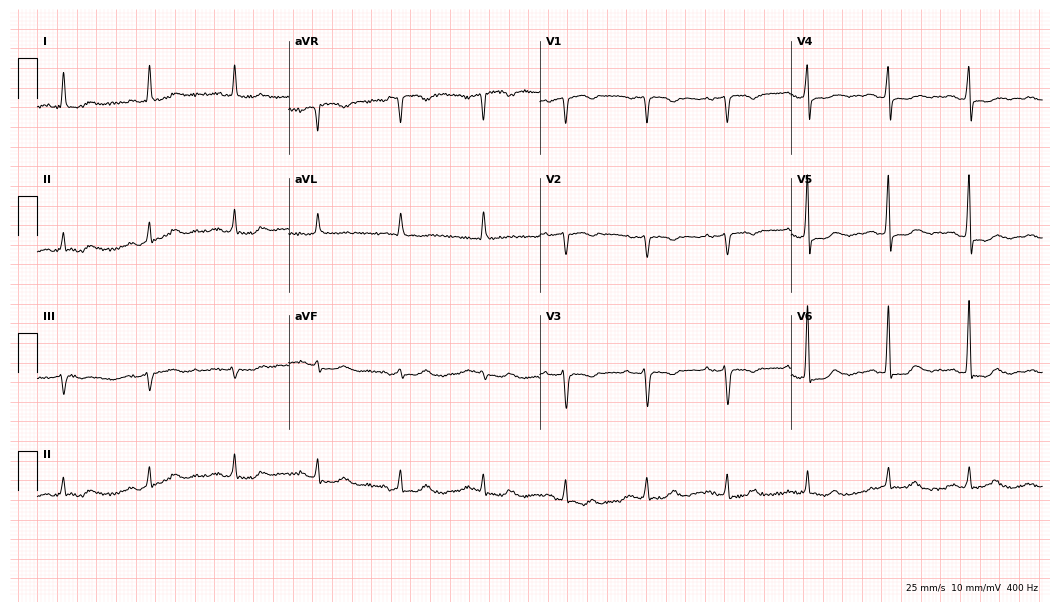
12-lead ECG from a female patient, 70 years old (10.2-second recording at 400 Hz). No first-degree AV block, right bundle branch block, left bundle branch block, sinus bradycardia, atrial fibrillation or sinus tachycardia recorded for this tracing. Findings outside these six are not listed.